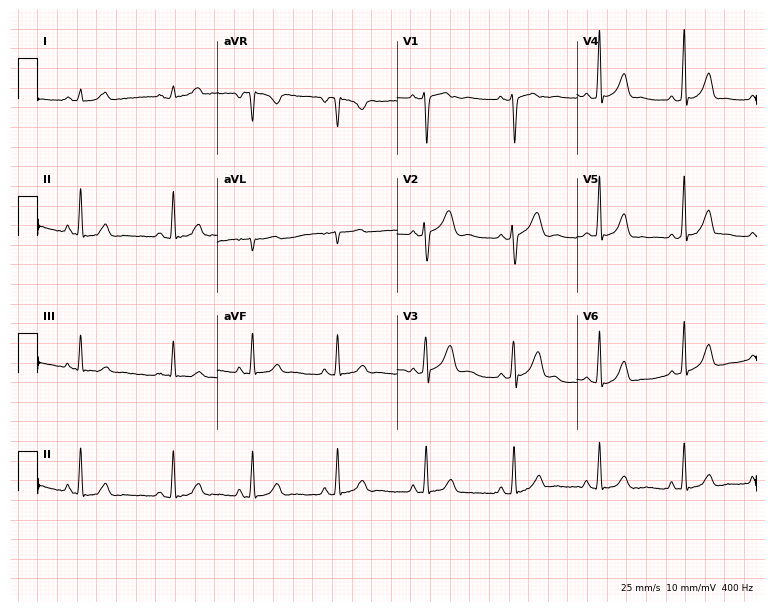
12-lead ECG (7.3-second recording at 400 Hz) from a 25-year-old woman. Screened for six findings — first-degree AV block, right bundle branch block, left bundle branch block, sinus bradycardia, atrial fibrillation, sinus tachycardia — none is recorded.